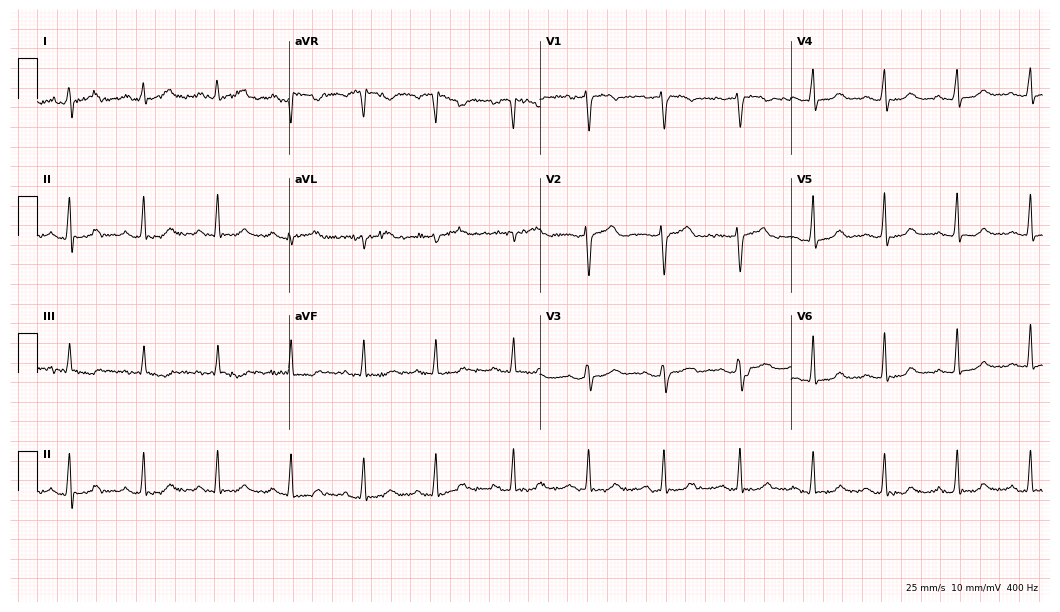
ECG — a female, 44 years old. Labelled as a normal ECG.